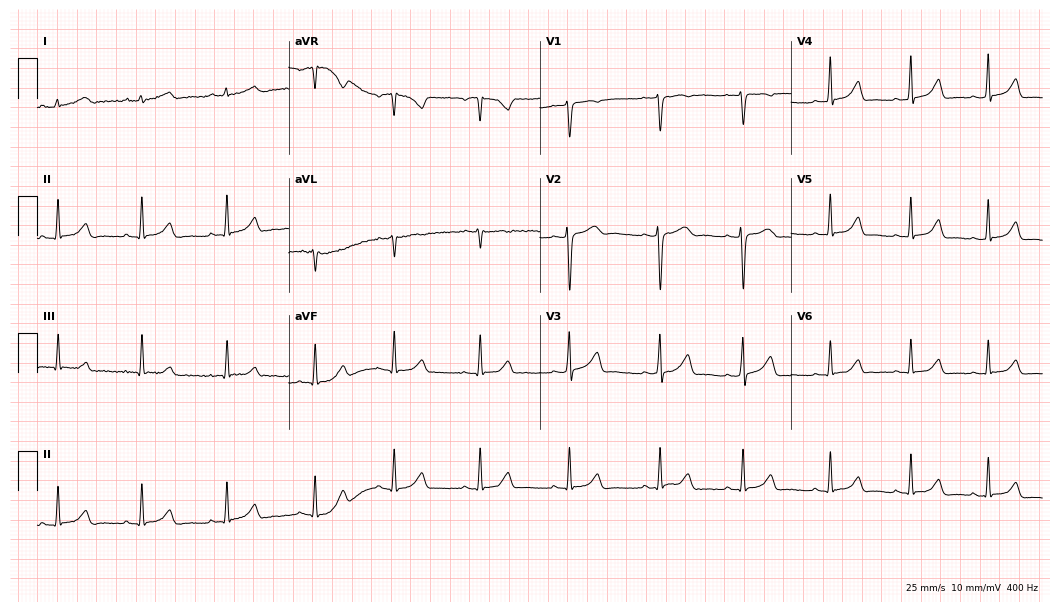
Standard 12-lead ECG recorded from a female patient, 39 years old (10.2-second recording at 400 Hz). Read as a normal ECG.